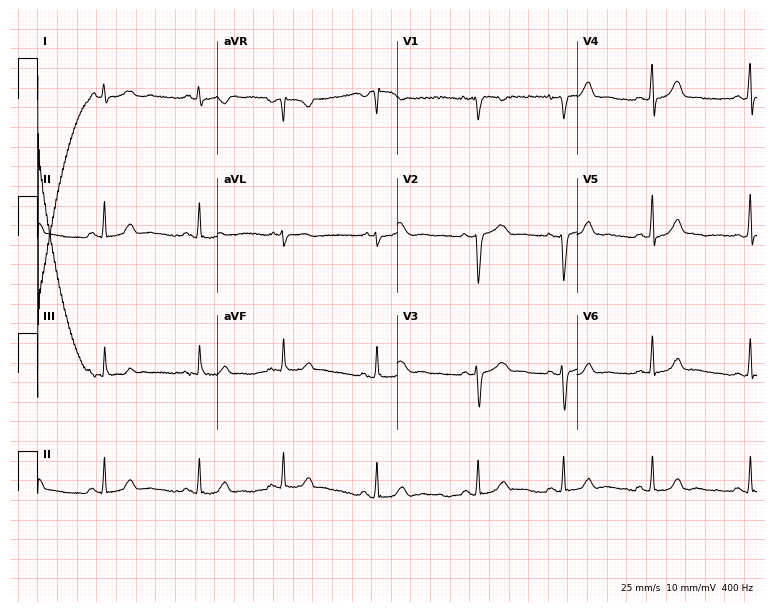
Resting 12-lead electrocardiogram (7.3-second recording at 400 Hz). Patient: a 33-year-old female. Read as a normal ECG.